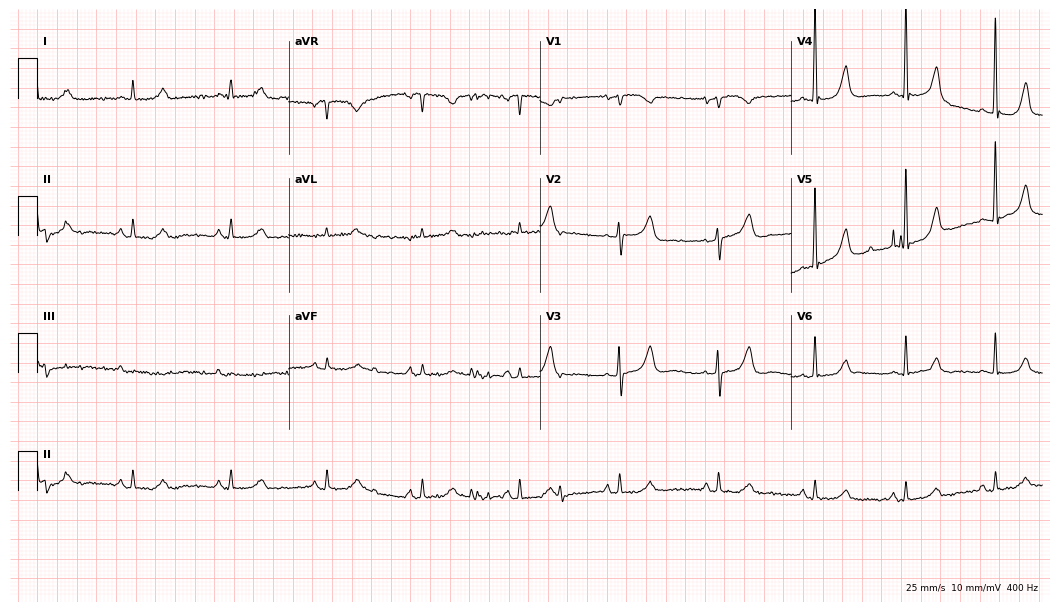
12-lead ECG (10.2-second recording at 400 Hz) from a 77-year-old female. Labelled as a normal ECG.